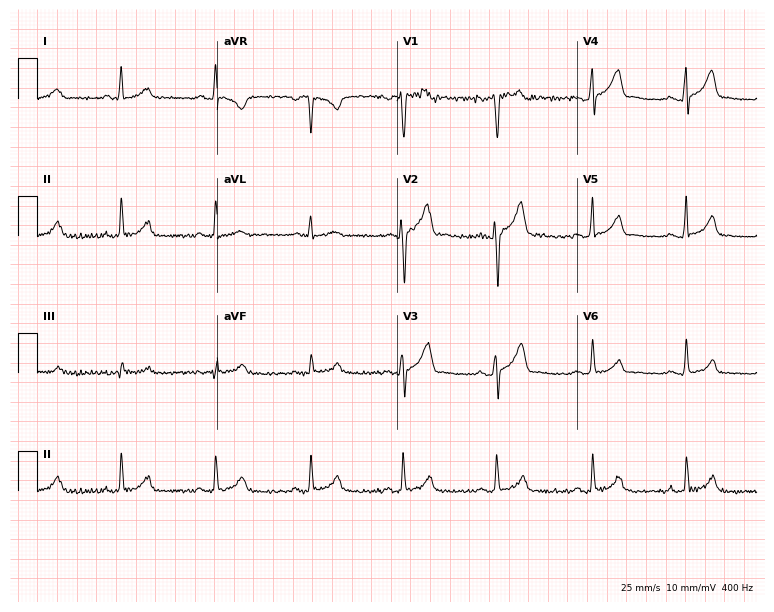
Resting 12-lead electrocardiogram. Patient: a 23-year-old man. Read as a normal ECG.